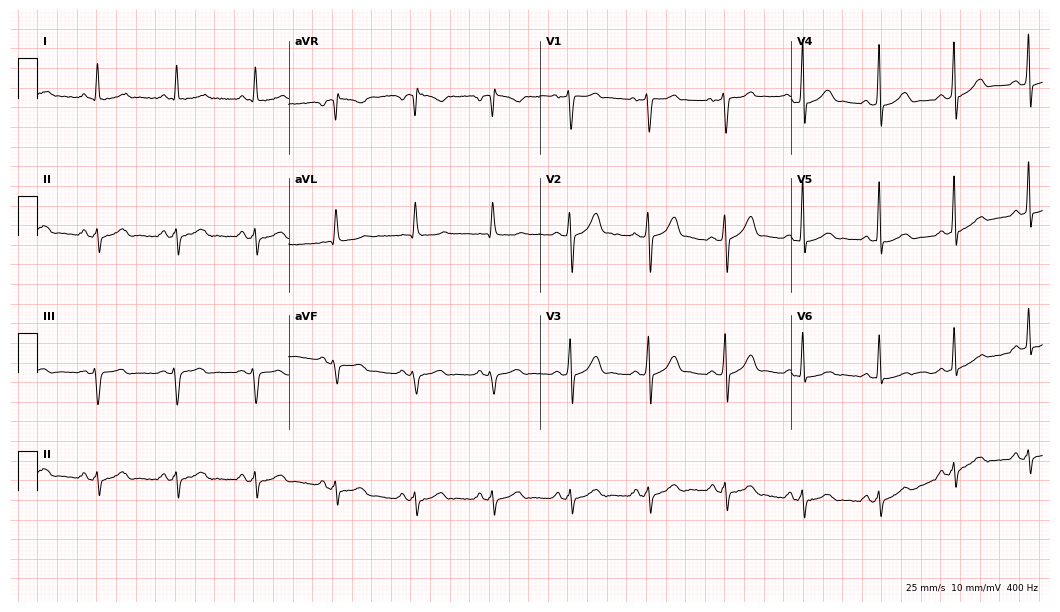
12-lead ECG (10.2-second recording at 400 Hz) from a 46-year-old man. Screened for six findings — first-degree AV block, right bundle branch block, left bundle branch block, sinus bradycardia, atrial fibrillation, sinus tachycardia — none is recorded.